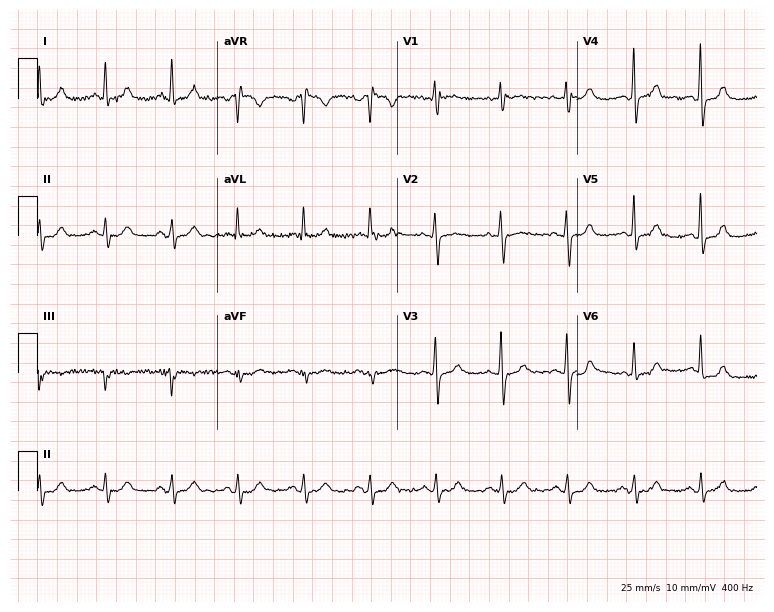
Resting 12-lead electrocardiogram (7.3-second recording at 400 Hz). Patient: a woman, 75 years old. Read as a normal ECG.